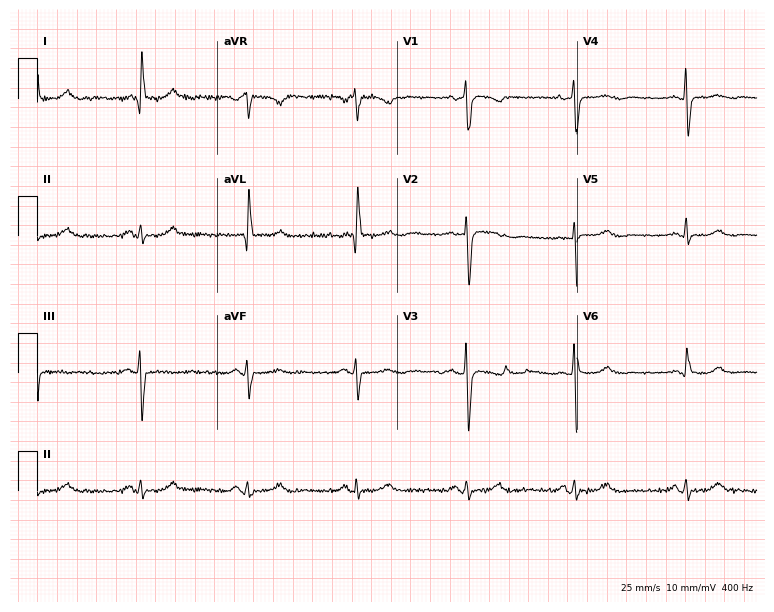
Electrocardiogram (7.3-second recording at 400 Hz), a woman, 79 years old. Of the six screened findings (first-degree AV block, right bundle branch block, left bundle branch block, sinus bradycardia, atrial fibrillation, sinus tachycardia), none is recorded. Findings outside these six are not listed.